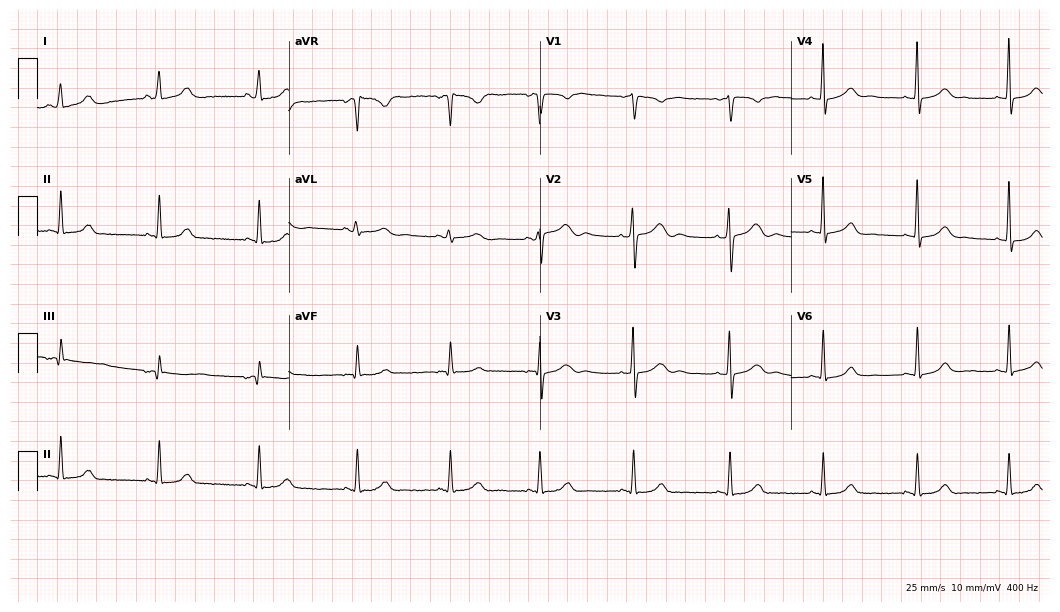
12-lead ECG from a female, 34 years old. Screened for six findings — first-degree AV block, right bundle branch block, left bundle branch block, sinus bradycardia, atrial fibrillation, sinus tachycardia — none is recorded. Only these six findings were labelled.